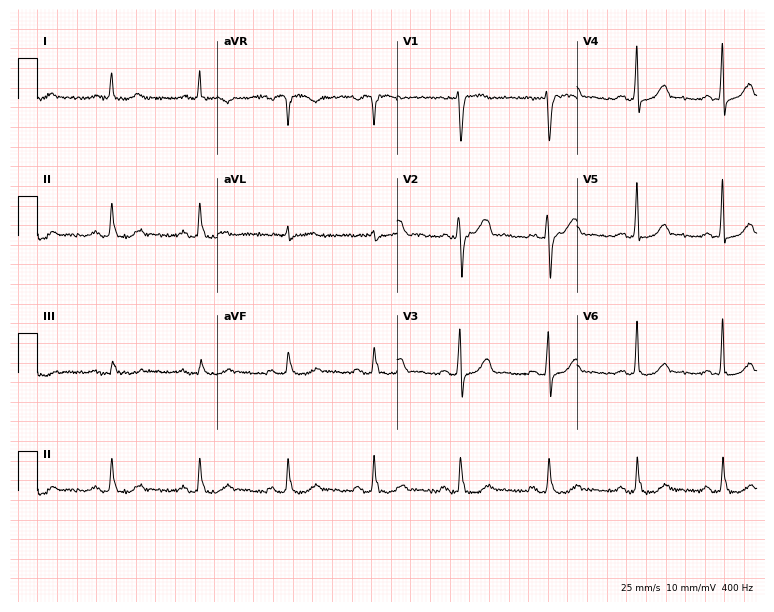
12-lead ECG from a 42-year-old female patient. No first-degree AV block, right bundle branch block, left bundle branch block, sinus bradycardia, atrial fibrillation or sinus tachycardia recorded for this tracing. Only these six findings were labelled.